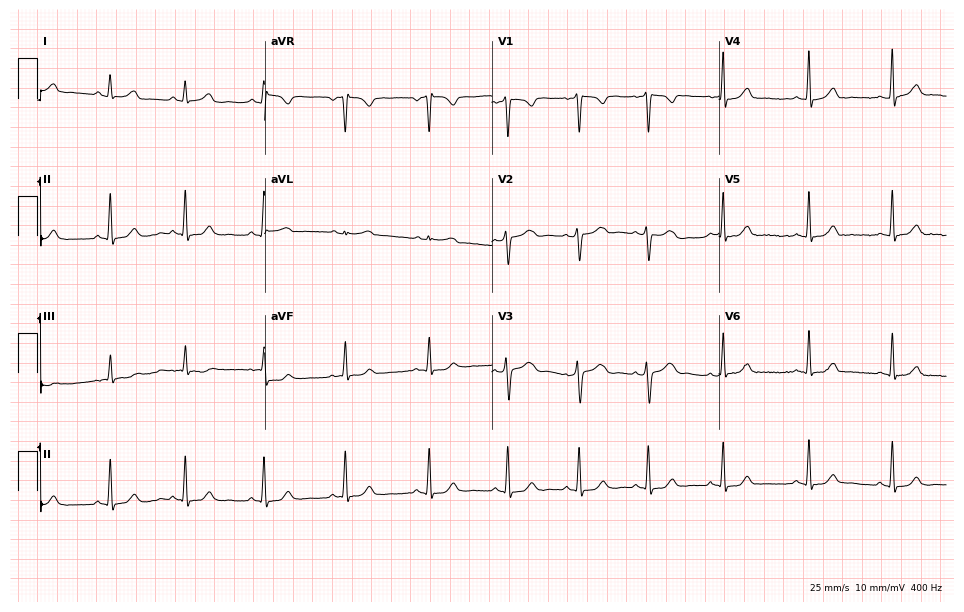
Standard 12-lead ECG recorded from a 28-year-old female patient (9.3-second recording at 400 Hz). None of these six findings is recorded: first-degree AV block, right bundle branch block, left bundle branch block, sinus bradycardia, atrial fibrillation, sinus tachycardia. Other findings, if any, are not listed.